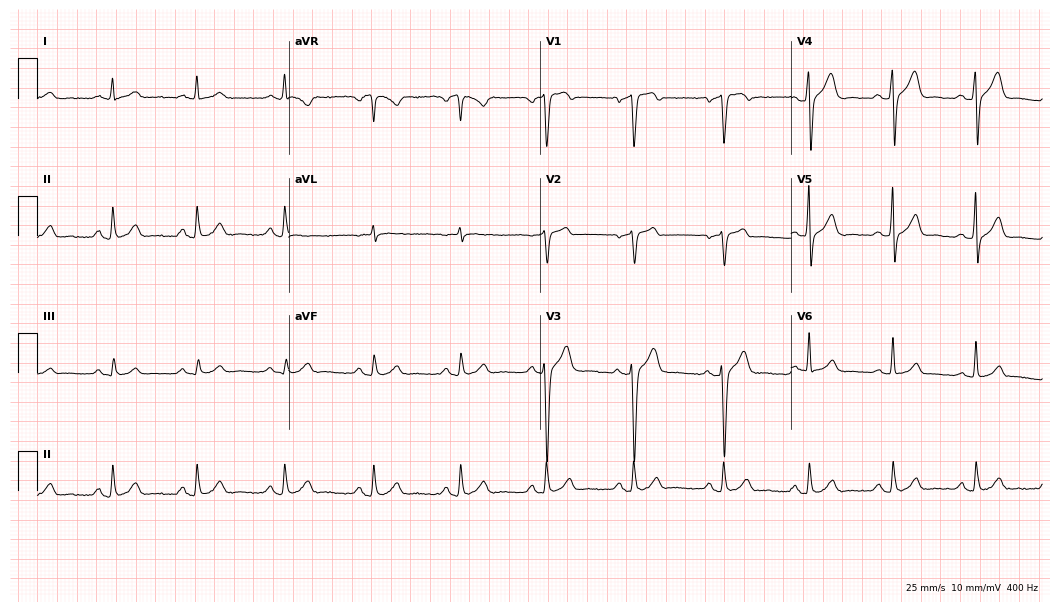
Standard 12-lead ECG recorded from a male patient, 41 years old (10.2-second recording at 400 Hz). None of these six findings is recorded: first-degree AV block, right bundle branch block (RBBB), left bundle branch block (LBBB), sinus bradycardia, atrial fibrillation (AF), sinus tachycardia. Findings outside these six are not listed.